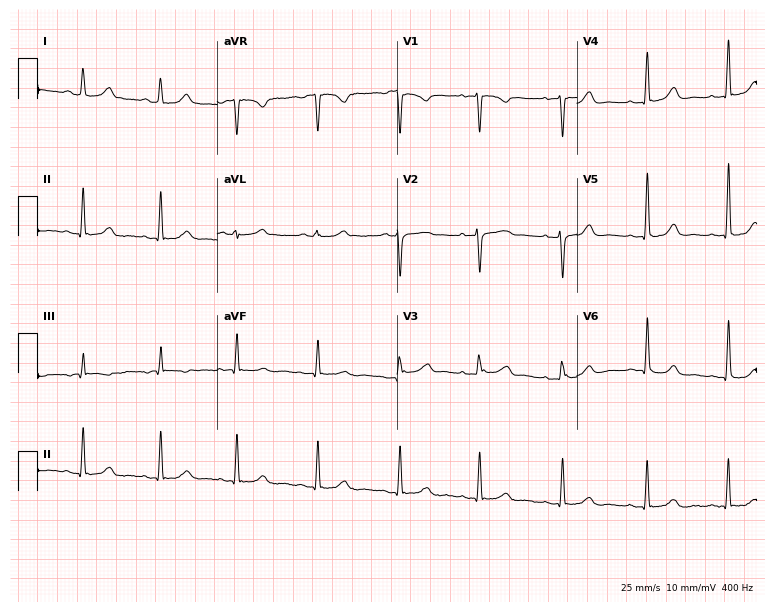
Resting 12-lead electrocardiogram. Patient: a 52-year-old female. None of these six findings is recorded: first-degree AV block, right bundle branch block, left bundle branch block, sinus bradycardia, atrial fibrillation, sinus tachycardia. Other findings, if any, are not listed.